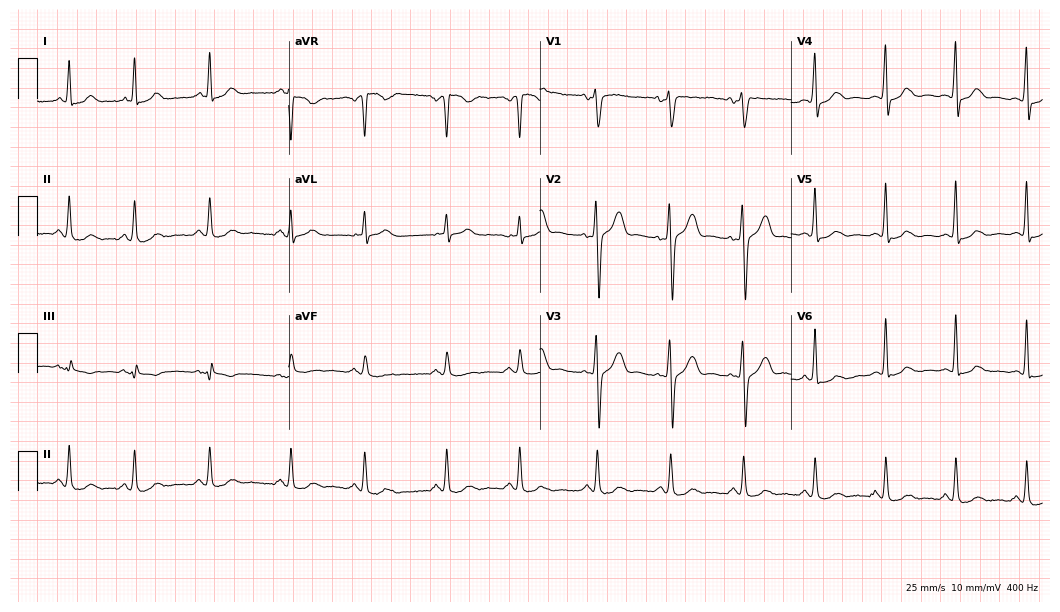
ECG — a 41-year-old male. Labelled as a normal ECG.